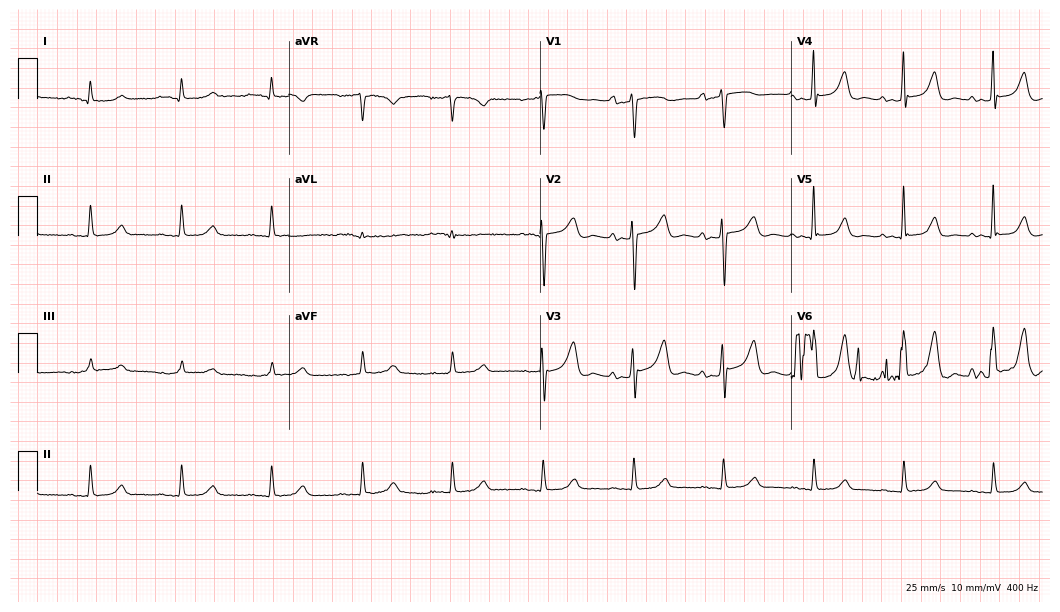
12-lead ECG from a 43-year-old female patient. Screened for six findings — first-degree AV block, right bundle branch block, left bundle branch block, sinus bradycardia, atrial fibrillation, sinus tachycardia — none is recorded.